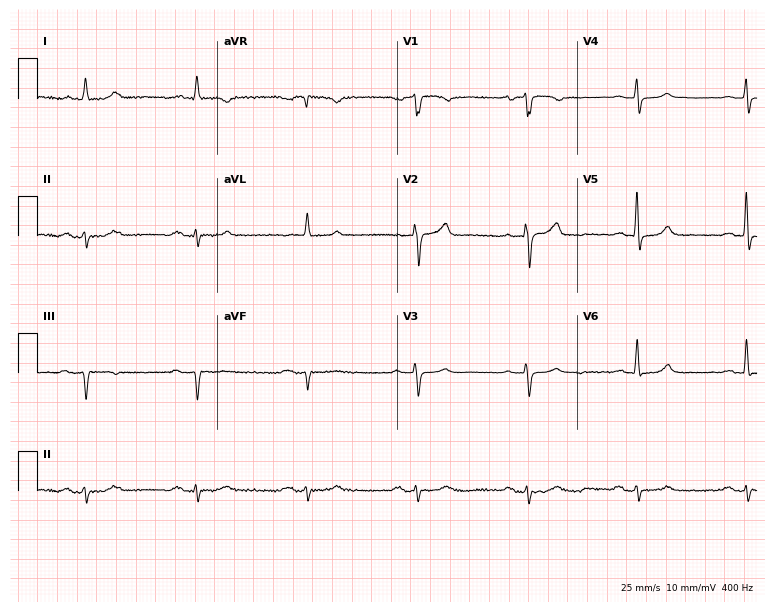
12-lead ECG (7.3-second recording at 400 Hz) from a 77-year-old male patient. Findings include first-degree AV block.